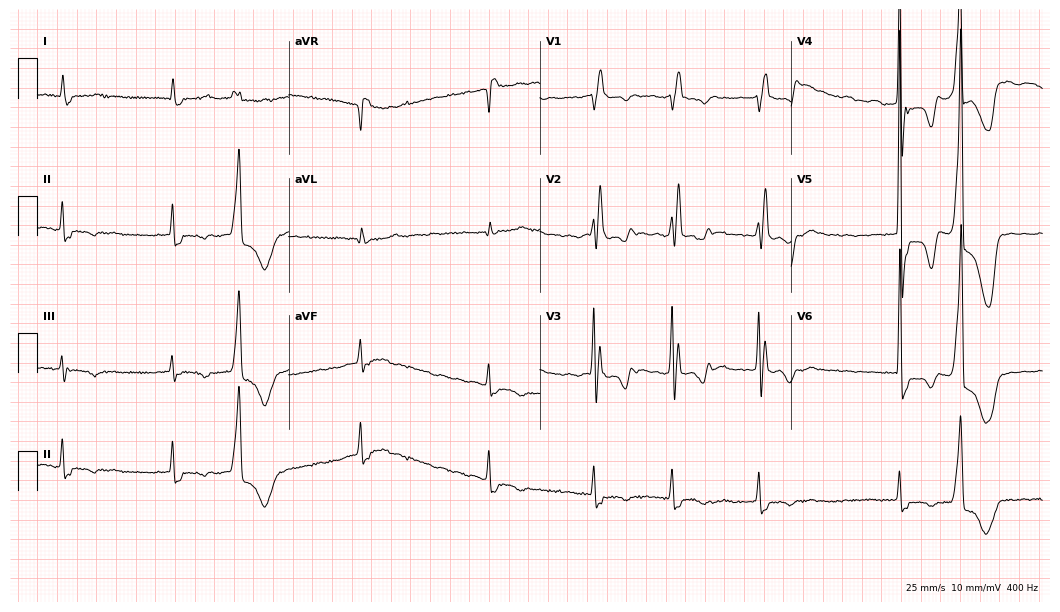
12-lead ECG from a male patient, 80 years old. Shows right bundle branch block (RBBB), atrial fibrillation (AF).